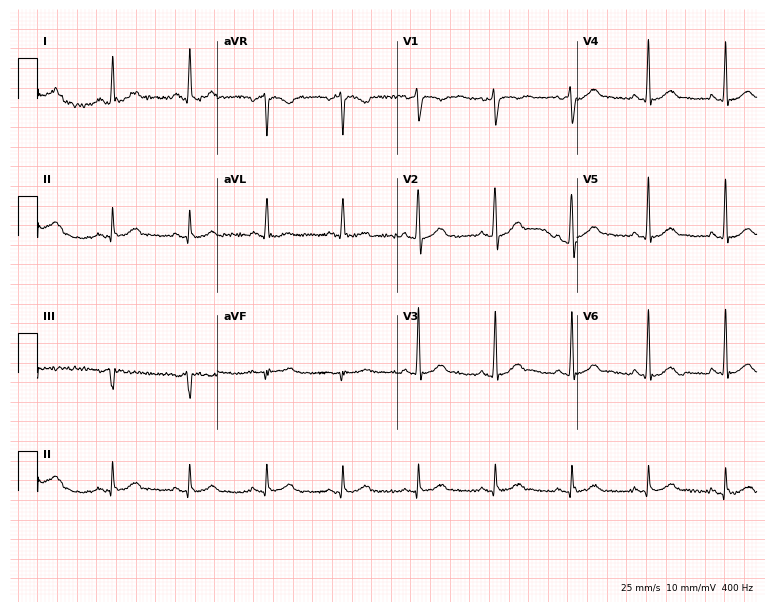
12-lead ECG from a 54-year-old male (7.3-second recording at 400 Hz). No first-degree AV block, right bundle branch block (RBBB), left bundle branch block (LBBB), sinus bradycardia, atrial fibrillation (AF) or sinus tachycardia recorded for this tracing.